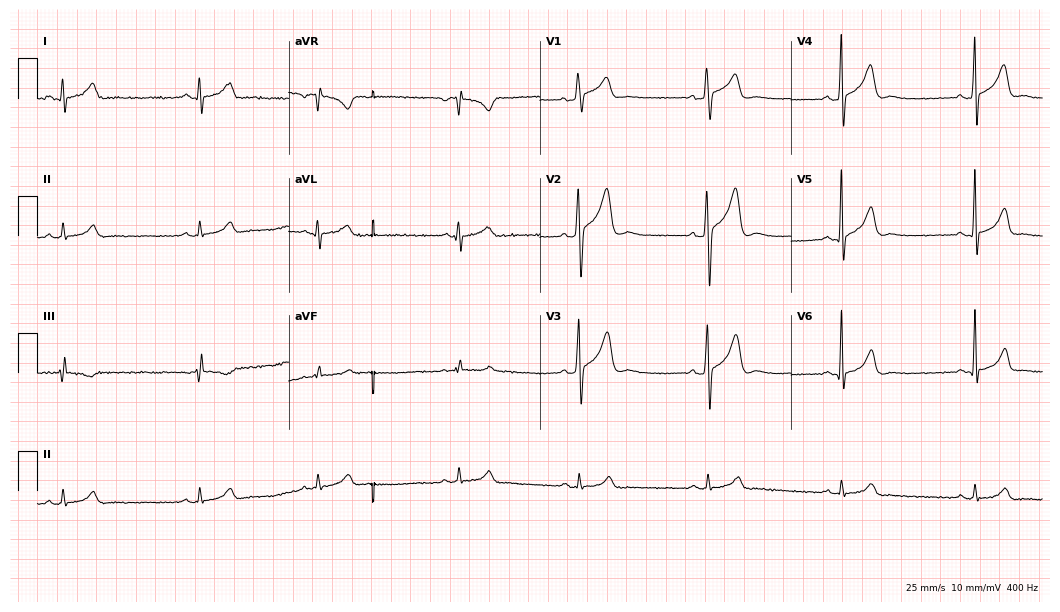
Electrocardiogram, a male, 30 years old. Interpretation includes sinus bradycardia (a sinus rate of 50 beats per minute or less).